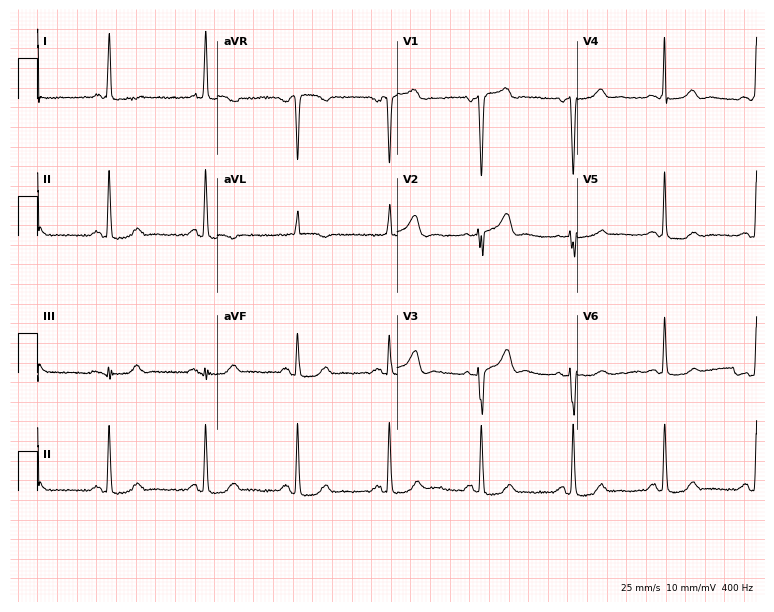
Electrocardiogram, a female, 79 years old. Of the six screened findings (first-degree AV block, right bundle branch block, left bundle branch block, sinus bradycardia, atrial fibrillation, sinus tachycardia), none is recorded.